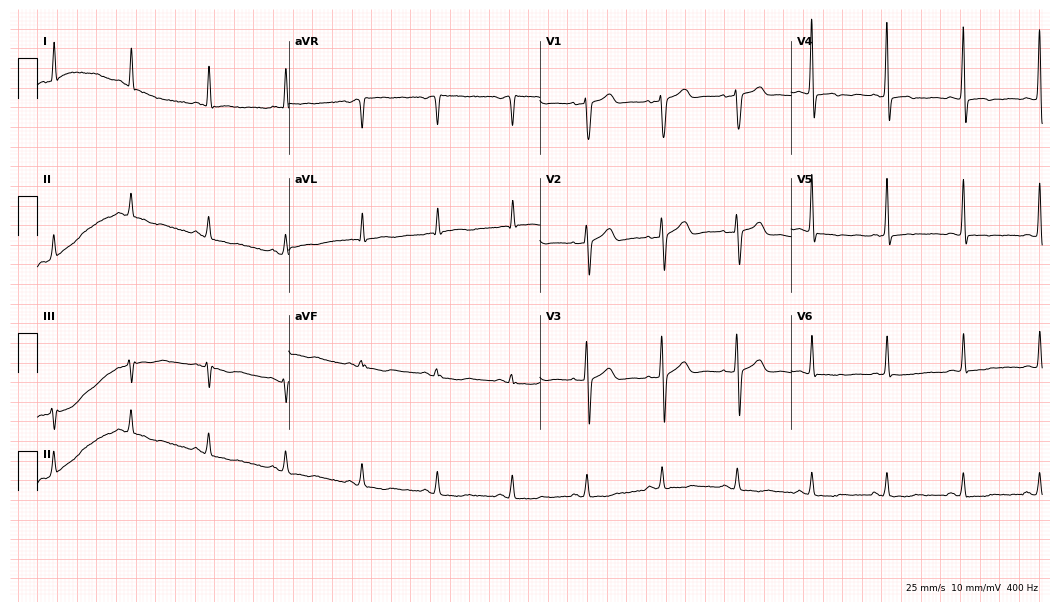
Resting 12-lead electrocardiogram. Patient: a man, 60 years old. None of these six findings is recorded: first-degree AV block, right bundle branch block, left bundle branch block, sinus bradycardia, atrial fibrillation, sinus tachycardia. Other findings, if any, are not listed.